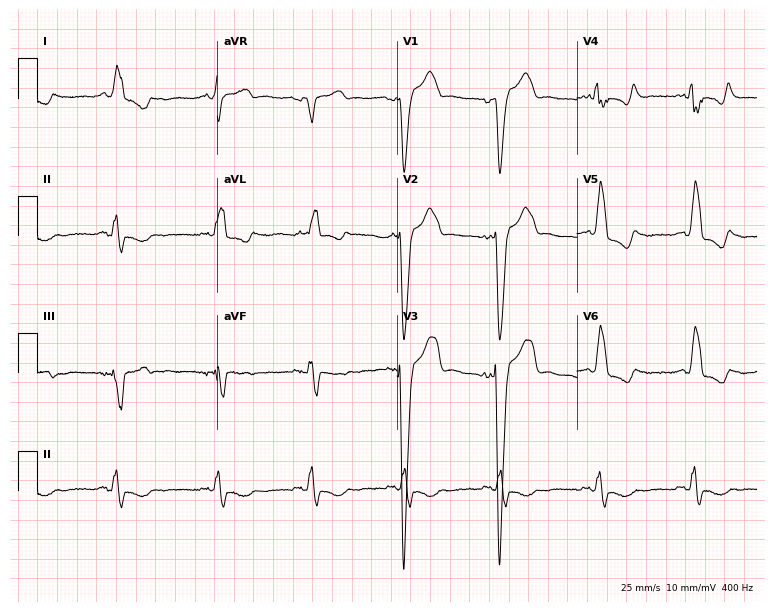
Standard 12-lead ECG recorded from a male, 60 years old. The tracing shows left bundle branch block.